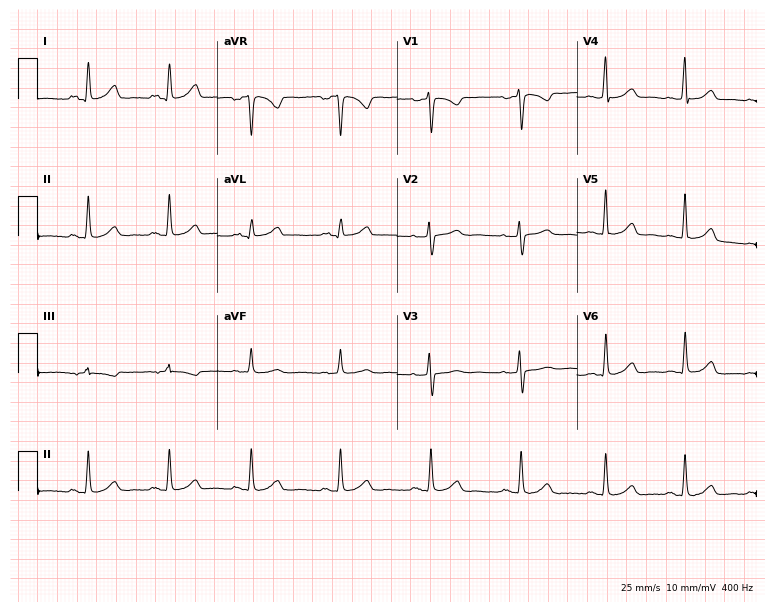
Resting 12-lead electrocardiogram (7.3-second recording at 400 Hz). Patient: a female, 28 years old. None of these six findings is recorded: first-degree AV block, right bundle branch block, left bundle branch block, sinus bradycardia, atrial fibrillation, sinus tachycardia. Findings outside these six are not listed.